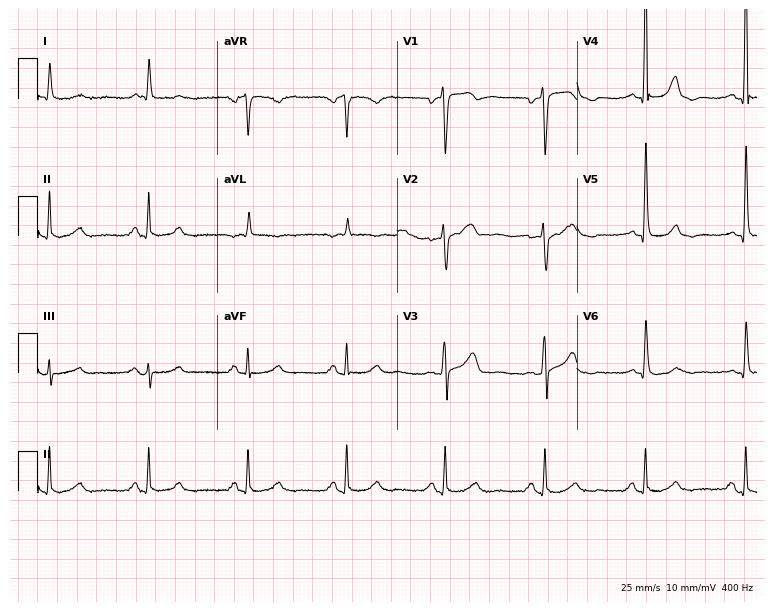
Electrocardiogram, a 75-year-old male. Of the six screened findings (first-degree AV block, right bundle branch block, left bundle branch block, sinus bradycardia, atrial fibrillation, sinus tachycardia), none is recorded.